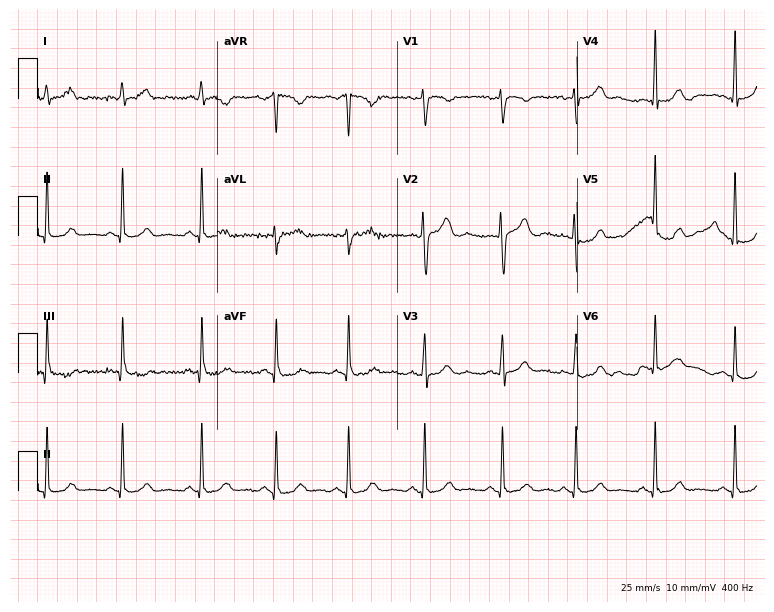
Standard 12-lead ECG recorded from a woman, 26 years old (7.3-second recording at 400 Hz). Read as a normal ECG.